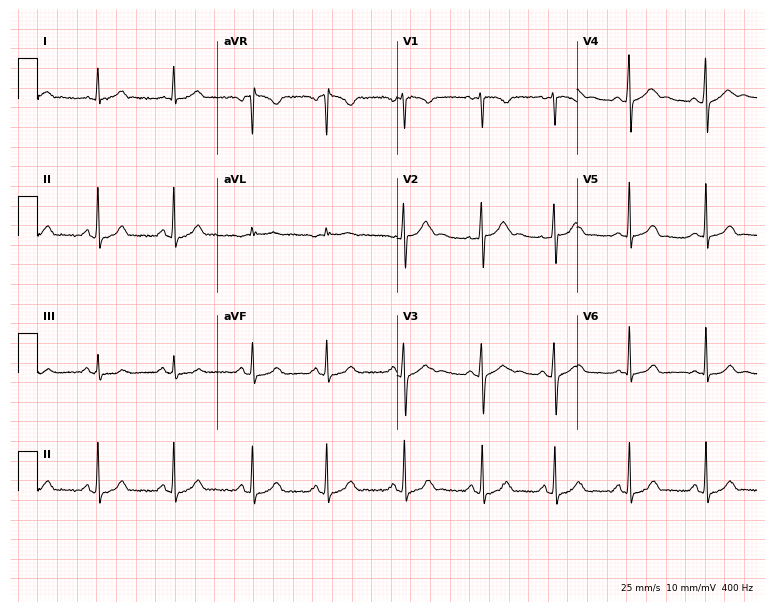
Electrocardiogram, a 37-year-old female. Overall reading on record: normal ECG.